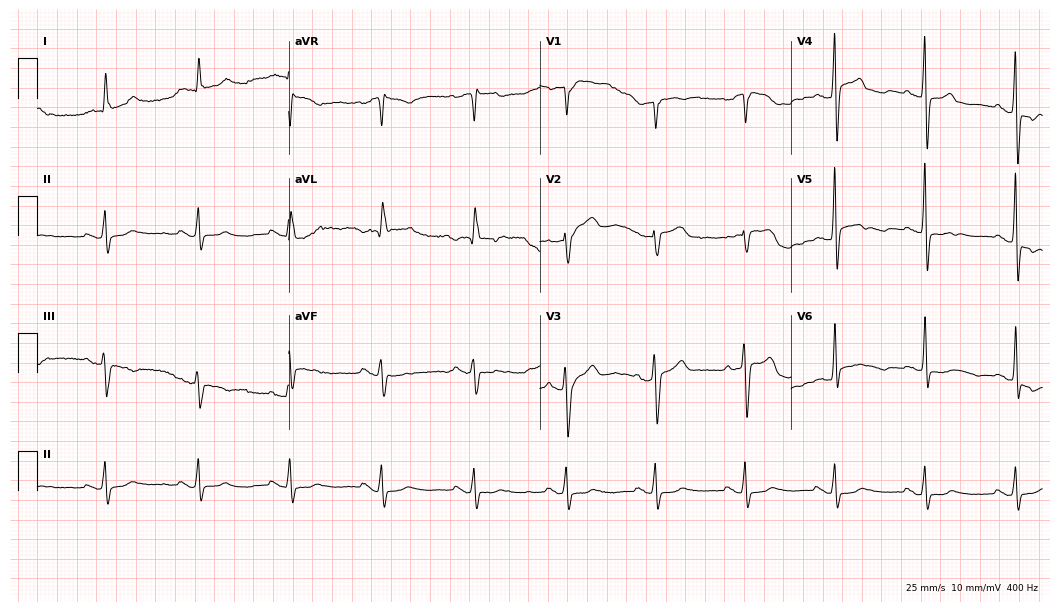
12-lead ECG from a woman, 86 years old. Screened for six findings — first-degree AV block, right bundle branch block, left bundle branch block, sinus bradycardia, atrial fibrillation, sinus tachycardia — none is recorded. Findings outside these six are not listed.